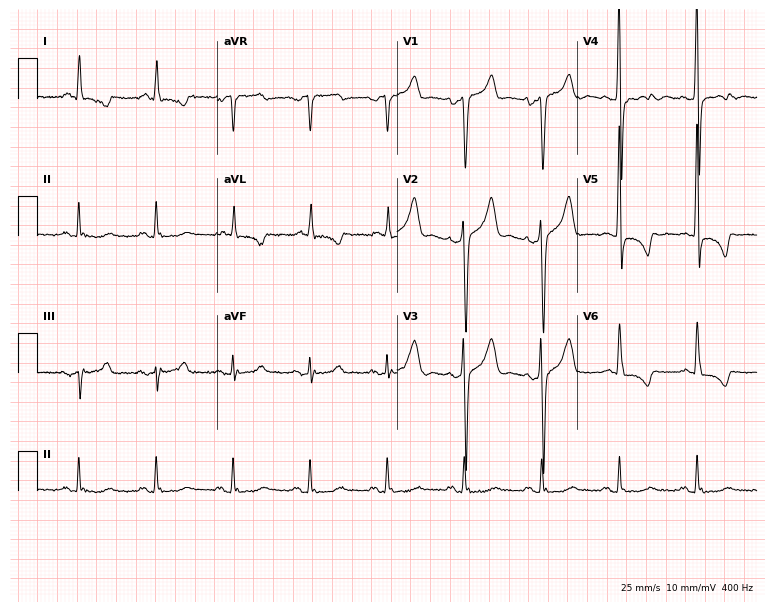
Standard 12-lead ECG recorded from a 56-year-old man. None of these six findings is recorded: first-degree AV block, right bundle branch block, left bundle branch block, sinus bradycardia, atrial fibrillation, sinus tachycardia. Findings outside these six are not listed.